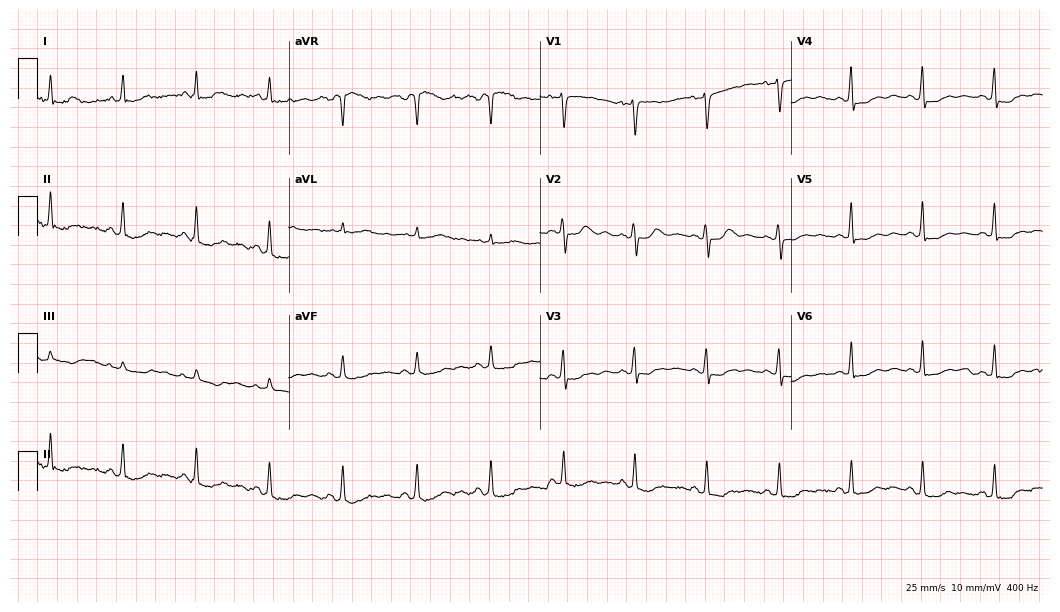
ECG — a woman, 53 years old. Screened for six findings — first-degree AV block, right bundle branch block (RBBB), left bundle branch block (LBBB), sinus bradycardia, atrial fibrillation (AF), sinus tachycardia — none is recorded. Findings outside these six are not listed.